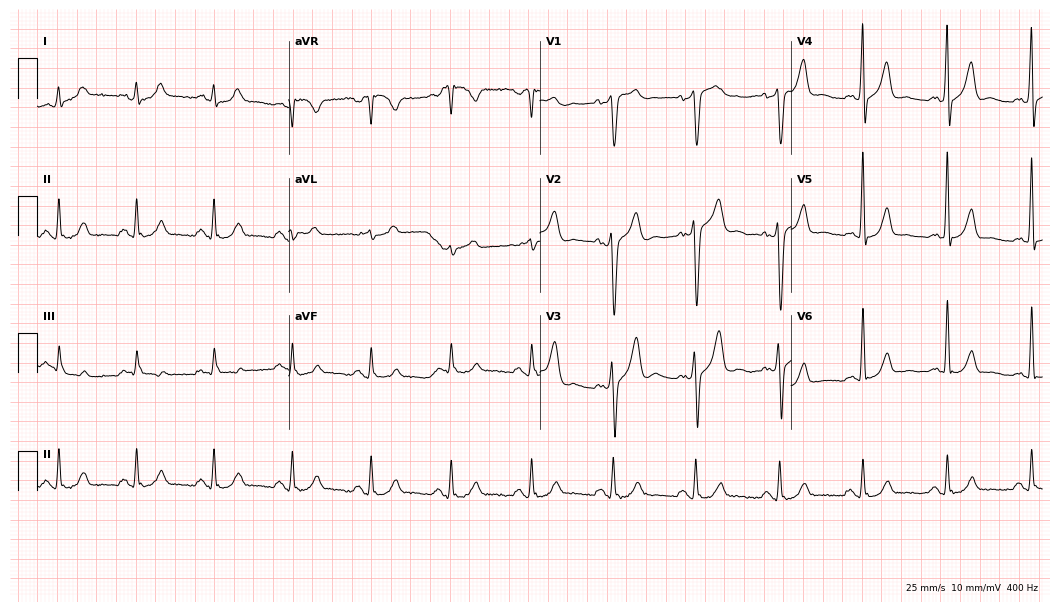
12-lead ECG from a 58-year-old man. Screened for six findings — first-degree AV block, right bundle branch block (RBBB), left bundle branch block (LBBB), sinus bradycardia, atrial fibrillation (AF), sinus tachycardia — none is recorded. Findings outside these six are not listed.